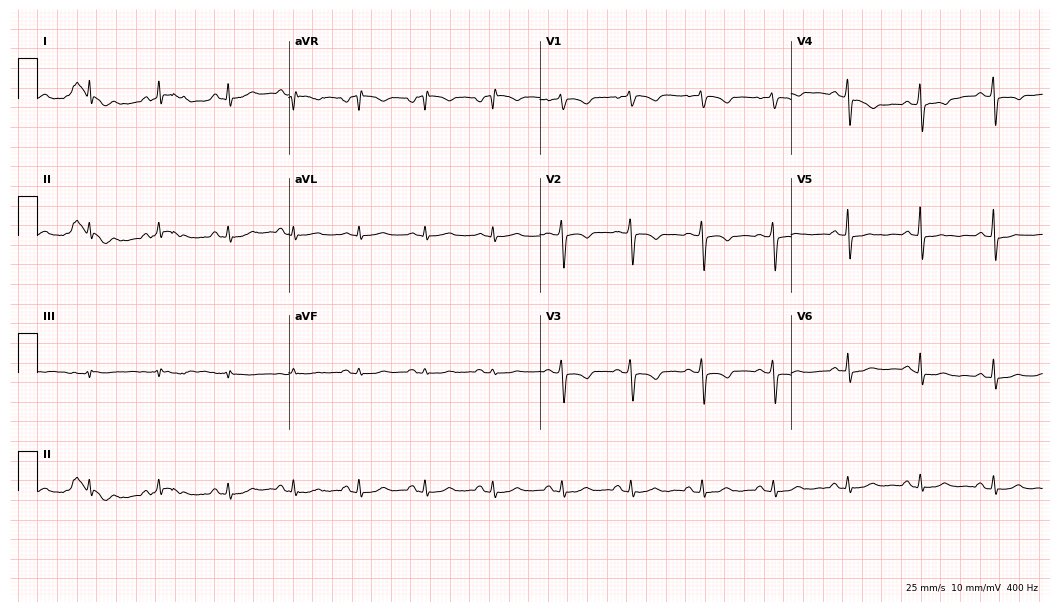
Resting 12-lead electrocardiogram (10.2-second recording at 400 Hz). Patient: a 49-year-old female. None of these six findings is recorded: first-degree AV block, right bundle branch block, left bundle branch block, sinus bradycardia, atrial fibrillation, sinus tachycardia. Findings outside these six are not listed.